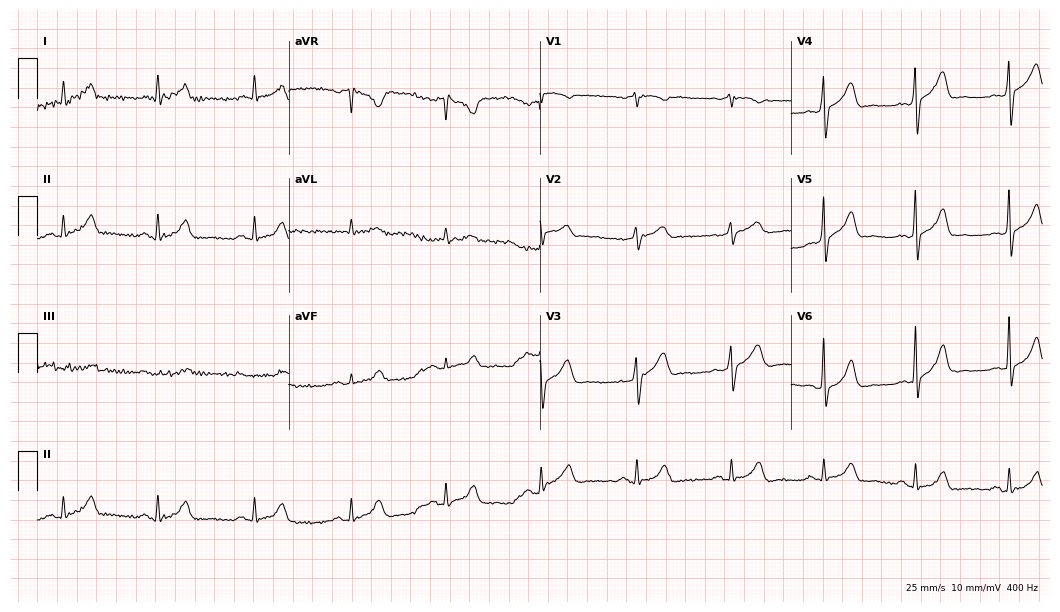
Electrocardiogram (10.2-second recording at 400 Hz), a man, 76 years old. Overall reading on record: normal ECG.